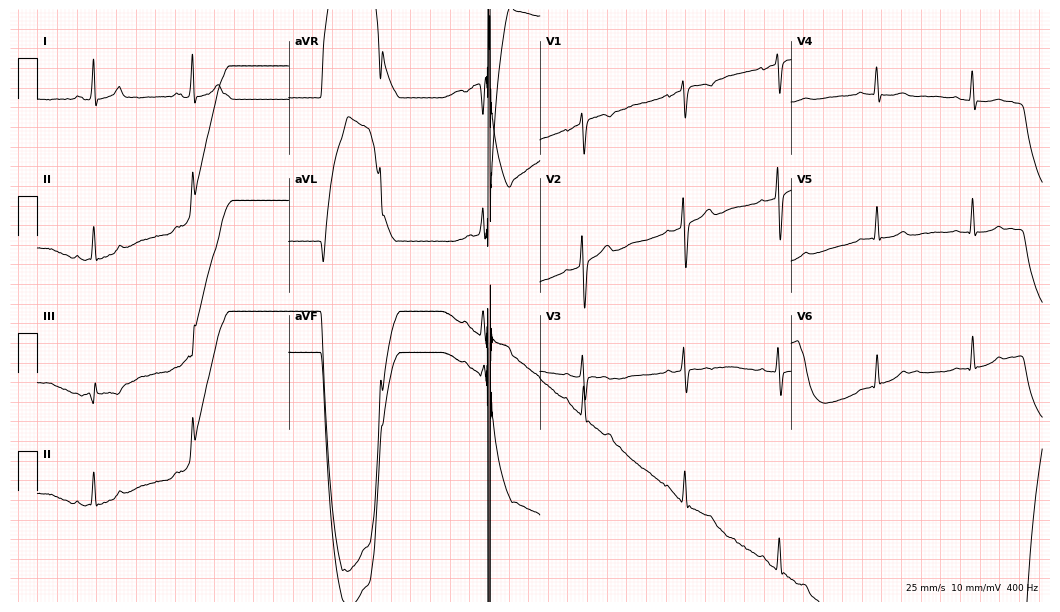
12-lead ECG (10.2-second recording at 400 Hz) from a 38-year-old female. Labelled as a normal ECG.